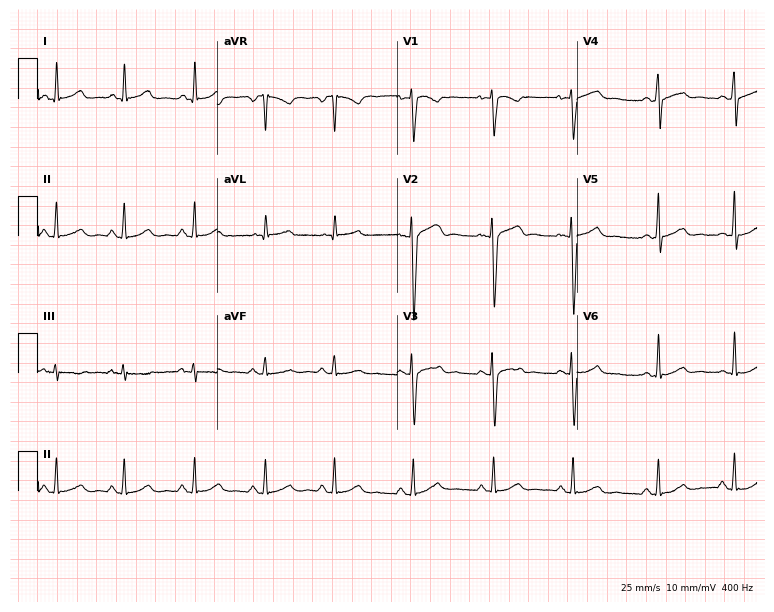
ECG — a female patient, 27 years old. Labelled as a normal ECG.